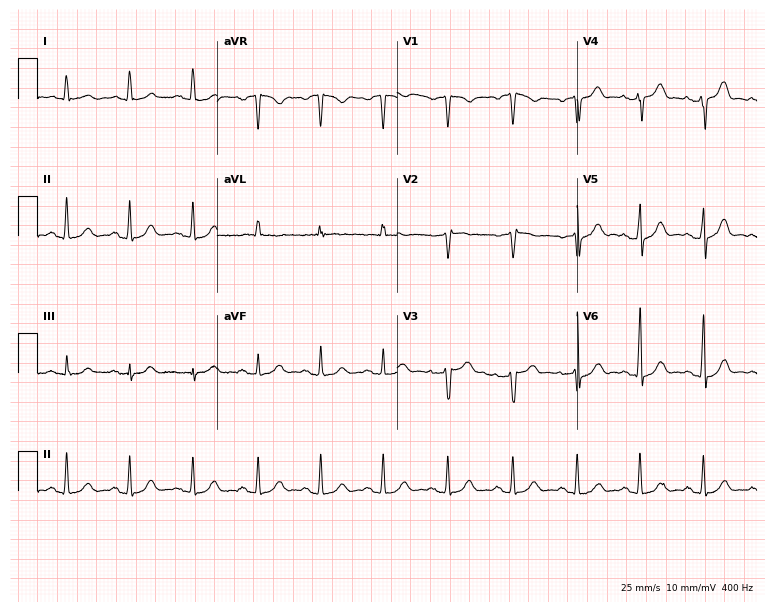
Electrocardiogram (7.3-second recording at 400 Hz), a man, 80 years old. Of the six screened findings (first-degree AV block, right bundle branch block (RBBB), left bundle branch block (LBBB), sinus bradycardia, atrial fibrillation (AF), sinus tachycardia), none is recorded. Findings outside these six are not listed.